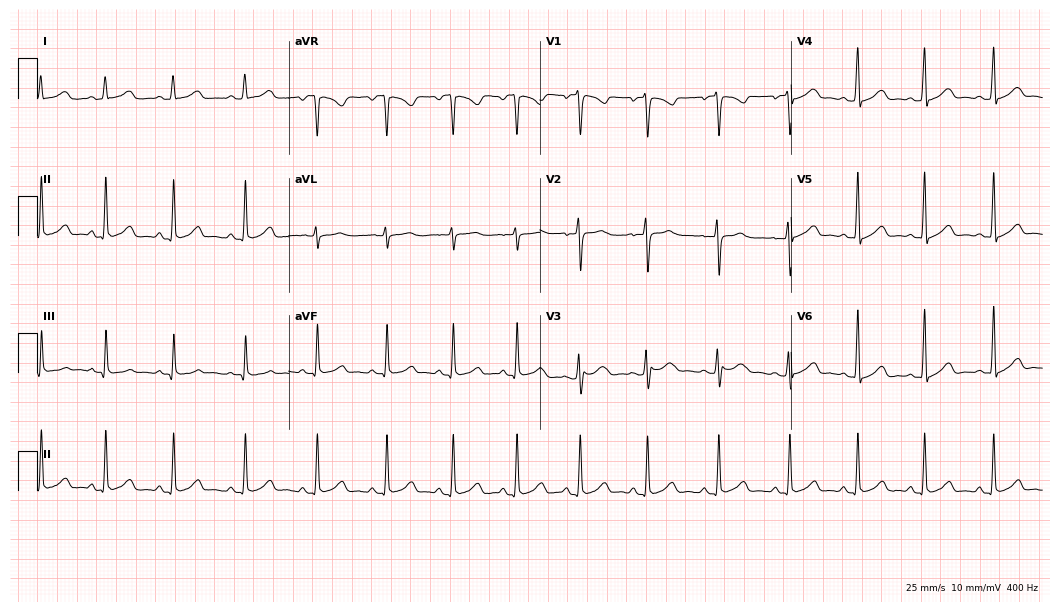
ECG — a woman, 23 years old. Labelled as a normal ECG.